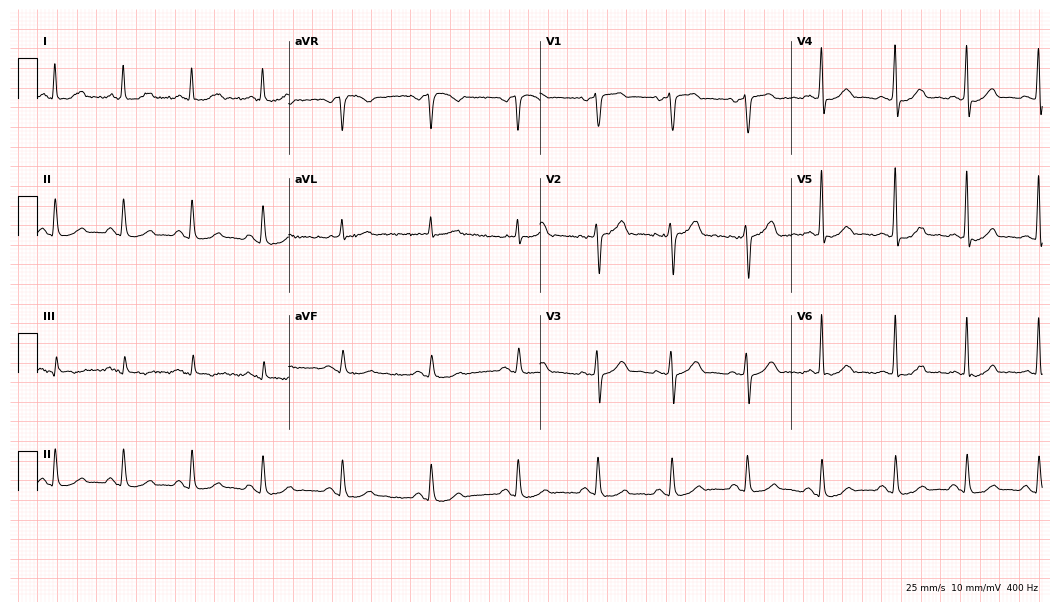
Standard 12-lead ECG recorded from a 58-year-old male patient. None of these six findings is recorded: first-degree AV block, right bundle branch block, left bundle branch block, sinus bradycardia, atrial fibrillation, sinus tachycardia.